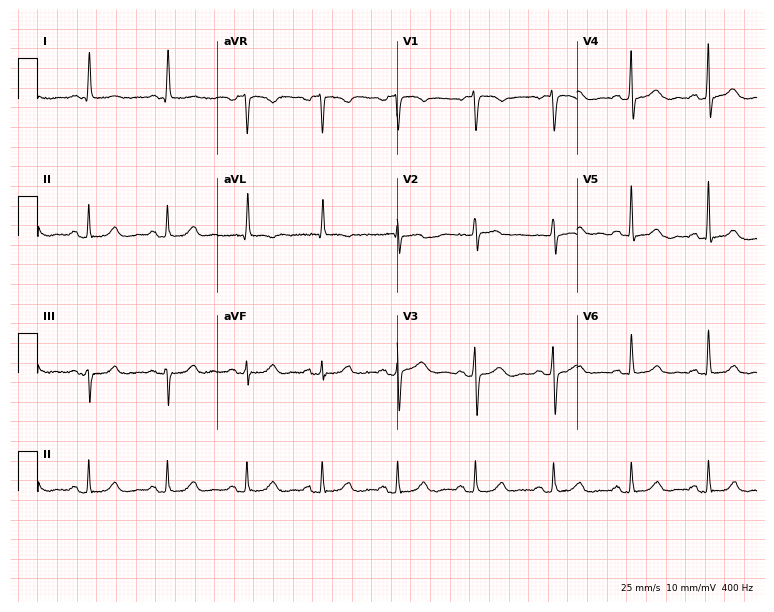
Resting 12-lead electrocardiogram (7.3-second recording at 400 Hz). Patient: a 70-year-old female. Read as a normal ECG.